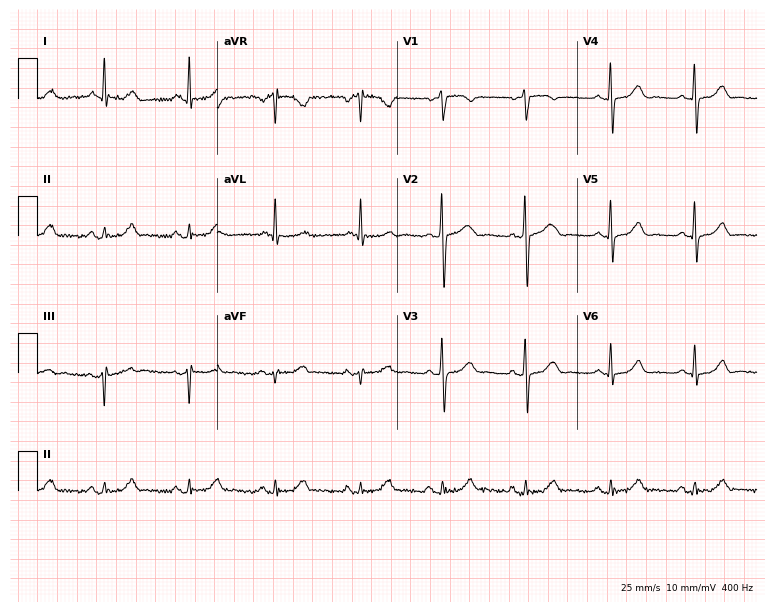
Electrocardiogram, a woman, 71 years old. Overall reading on record: normal ECG.